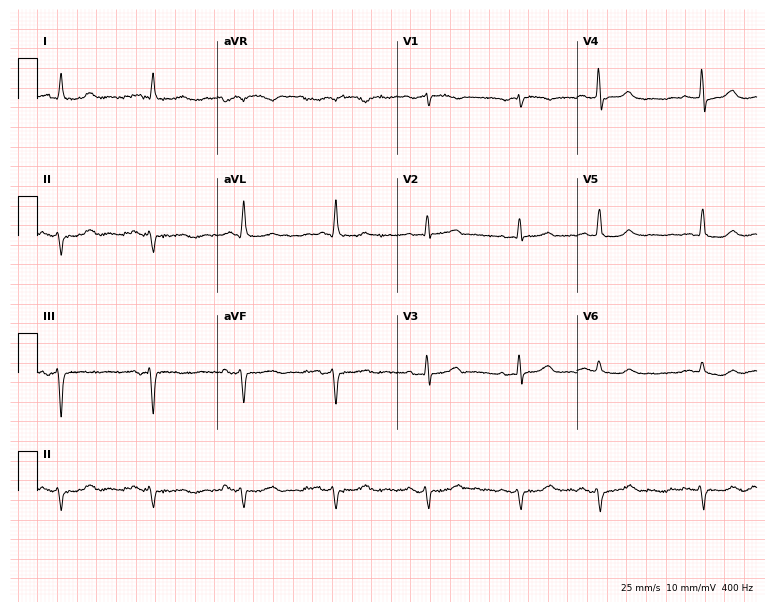
12-lead ECG from an 81-year-old male patient. Screened for six findings — first-degree AV block, right bundle branch block, left bundle branch block, sinus bradycardia, atrial fibrillation, sinus tachycardia — none is recorded. Other findings, if any, are not listed.